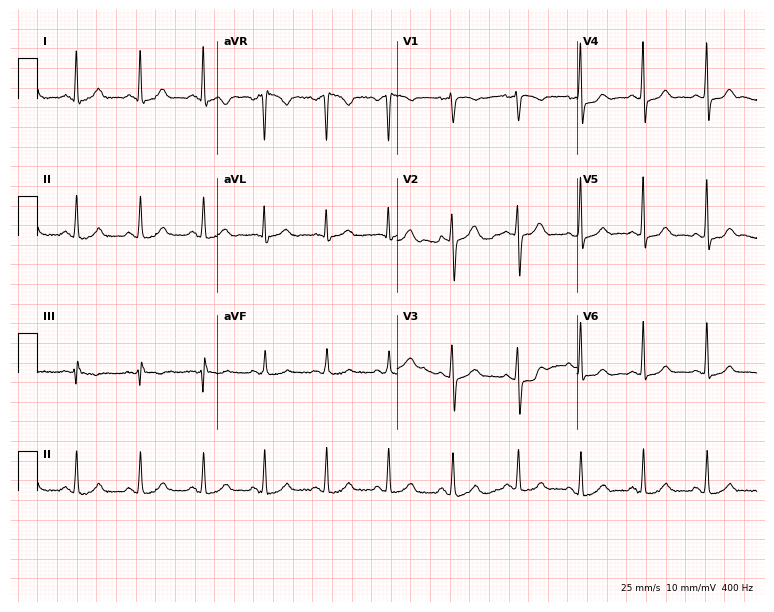
Electrocardiogram (7.3-second recording at 400 Hz), a 42-year-old female patient. Overall reading on record: normal ECG.